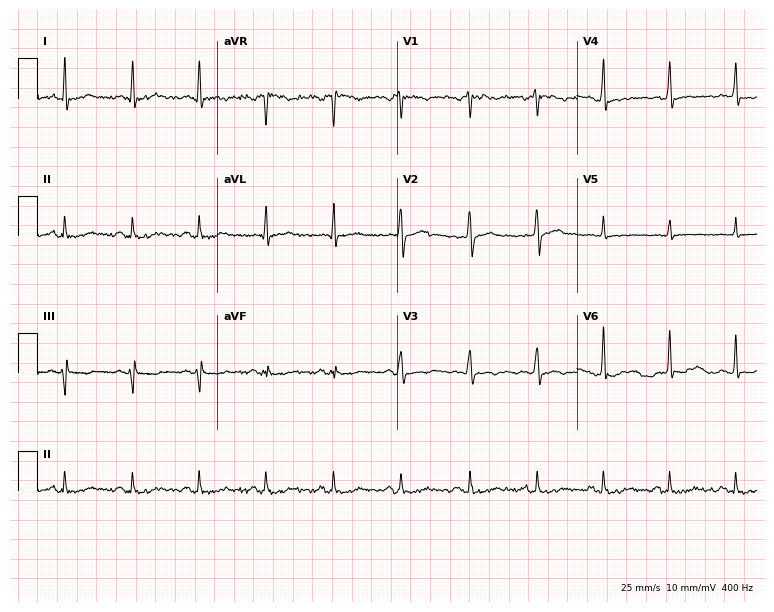
Standard 12-lead ECG recorded from a male, 44 years old. None of these six findings is recorded: first-degree AV block, right bundle branch block (RBBB), left bundle branch block (LBBB), sinus bradycardia, atrial fibrillation (AF), sinus tachycardia. Other findings, if any, are not listed.